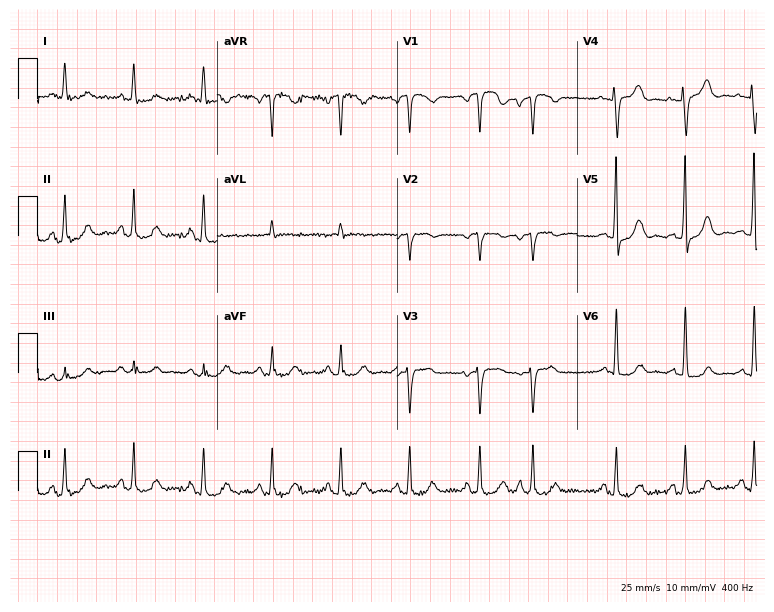
Standard 12-lead ECG recorded from an 84-year-old female patient. None of these six findings is recorded: first-degree AV block, right bundle branch block, left bundle branch block, sinus bradycardia, atrial fibrillation, sinus tachycardia.